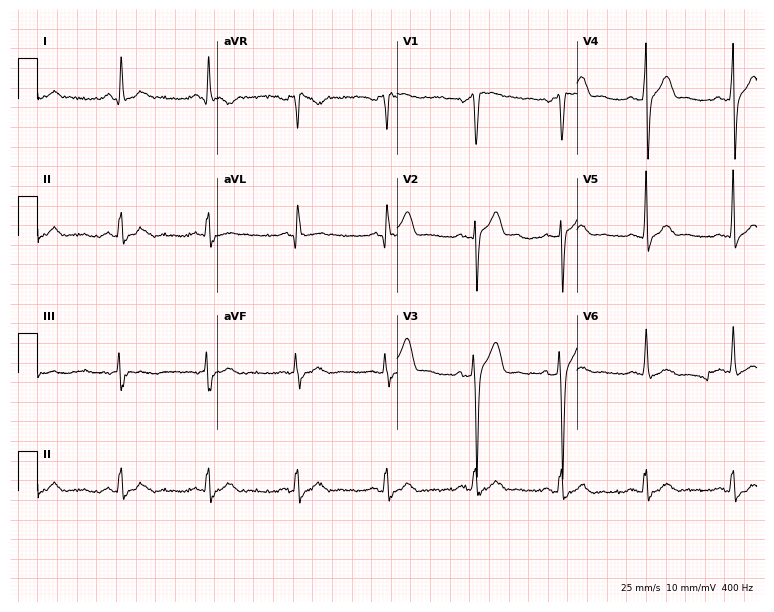
12-lead ECG from a 44-year-old man (7.3-second recording at 400 Hz). No first-degree AV block, right bundle branch block, left bundle branch block, sinus bradycardia, atrial fibrillation or sinus tachycardia recorded for this tracing. Only these six findings were labelled.